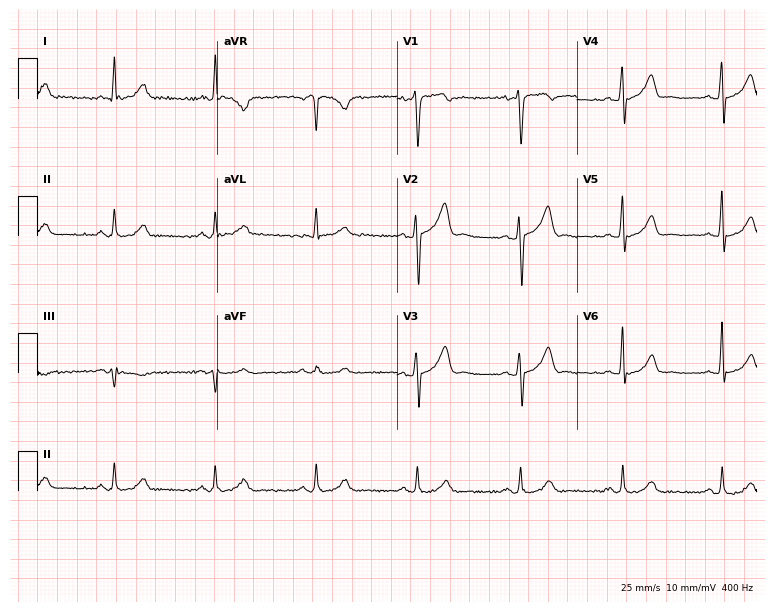
Electrocardiogram, a male patient, 47 years old. Of the six screened findings (first-degree AV block, right bundle branch block, left bundle branch block, sinus bradycardia, atrial fibrillation, sinus tachycardia), none is recorded. Only these six findings were labelled.